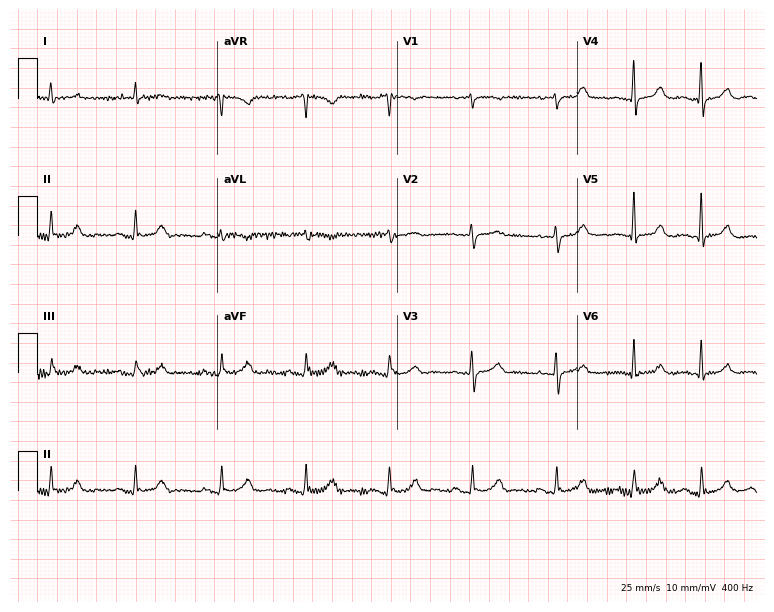
ECG (7.3-second recording at 400 Hz) — a male, 77 years old. Screened for six findings — first-degree AV block, right bundle branch block (RBBB), left bundle branch block (LBBB), sinus bradycardia, atrial fibrillation (AF), sinus tachycardia — none is recorded. Other findings, if any, are not listed.